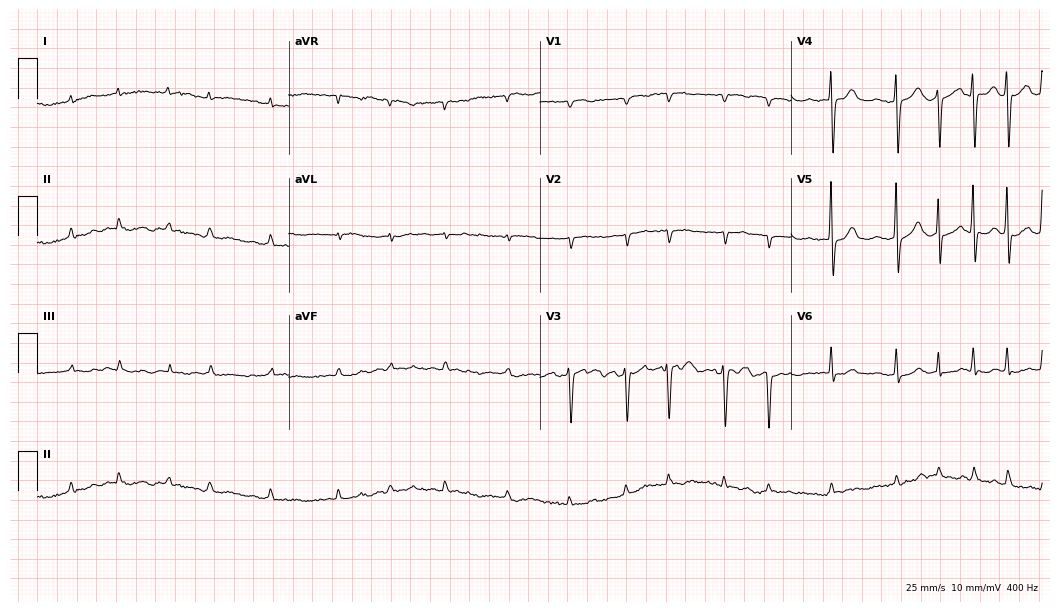
ECG — an 84-year-old male patient. Findings include atrial fibrillation.